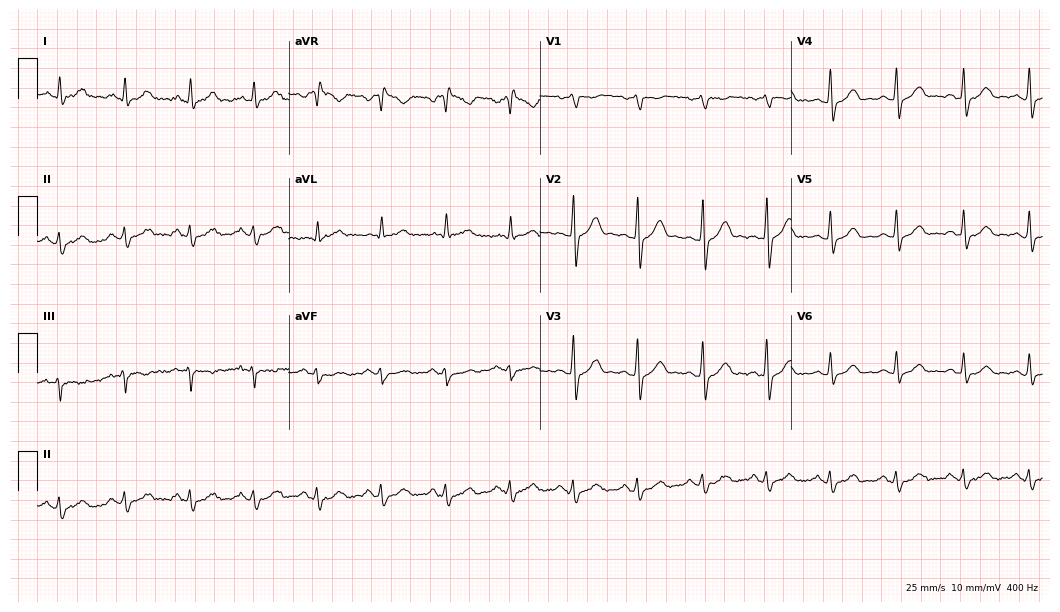
Resting 12-lead electrocardiogram (10.2-second recording at 400 Hz). Patient: a 42-year-old man. Read as a normal ECG.